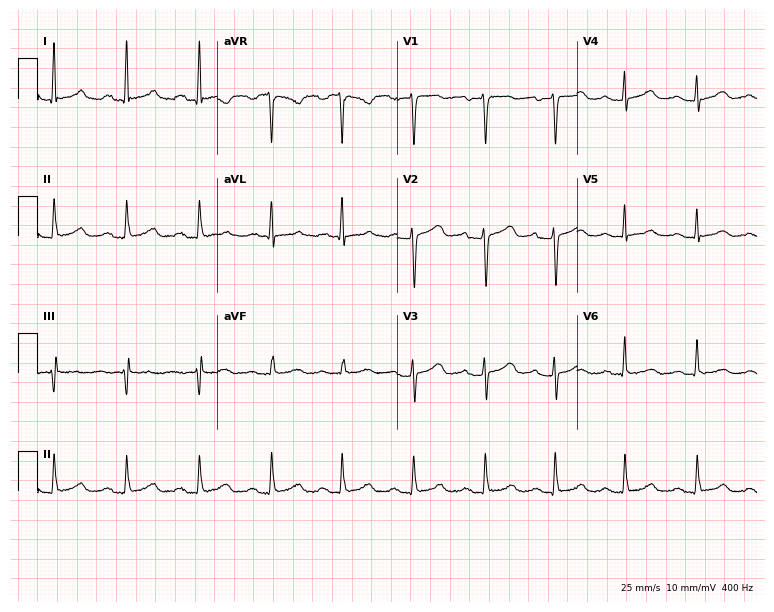
Standard 12-lead ECG recorded from a 49-year-old female patient (7.3-second recording at 400 Hz). The tracing shows first-degree AV block.